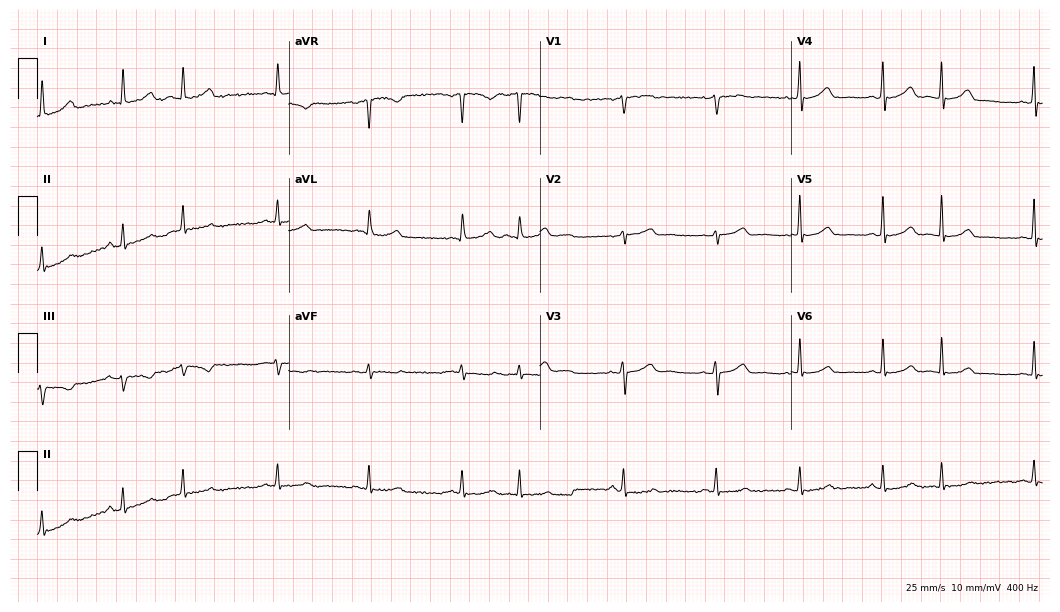
12-lead ECG from a 50-year-old female (10.2-second recording at 400 Hz). No first-degree AV block, right bundle branch block (RBBB), left bundle branch block (LBBB), sinus bradycardia, atrial fibrillation (AF) or sinus tachycardia recorded for this tracing.